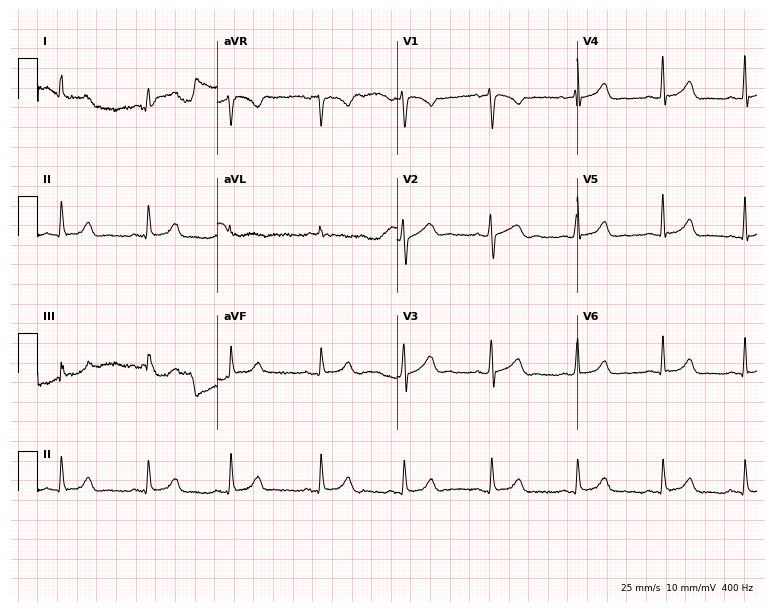
ECG (7.3-second recording at 400 Hz) — a female patient, 23 years old. Screened for six findings — first-degree AV block, right bundle branch block (RBBB), left bundle branch block (LBBB), sinus bradycardia, atrial fibrillation (AF), sinus tachycardia — none is recorded.